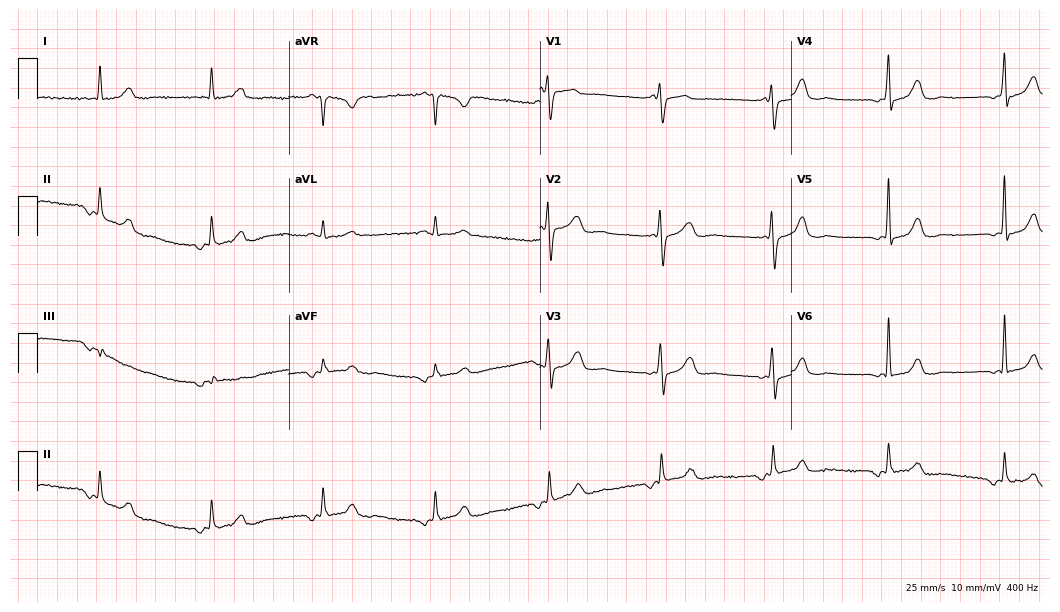
Electrocardiogram, a 74-year-old female patient. Of the six screened findings (first-degree AV block, right bundle branch block (RBBB), left bundle branch block (LBBB), sinus bradycardia, atrial fibrillation (AF), sinus tachycardia), none is recorded.